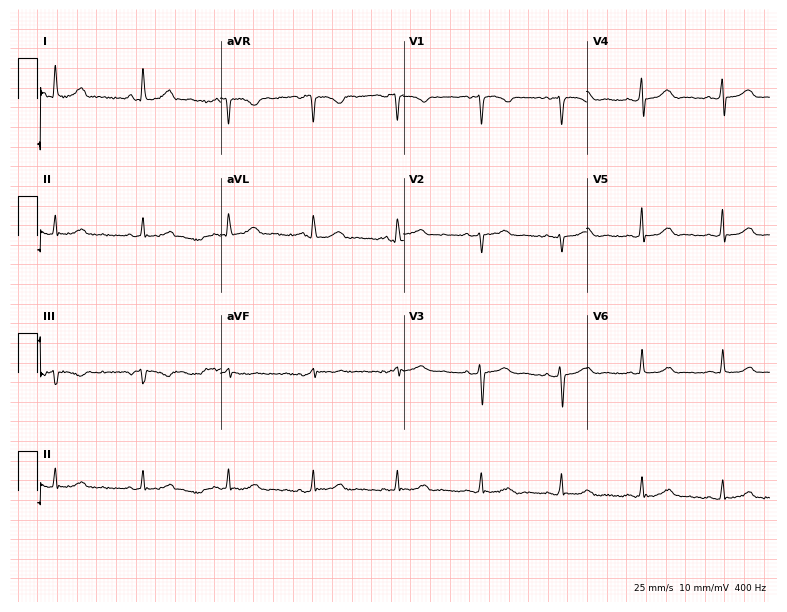
Electrocardiogram, a 49-year-old woman. Of the six screened findings (first-degree AV block, right bundle branch block, left bundle branch block, sinus bradycardia, atrial fibrillation, sinus tachycardia), none is recorded.